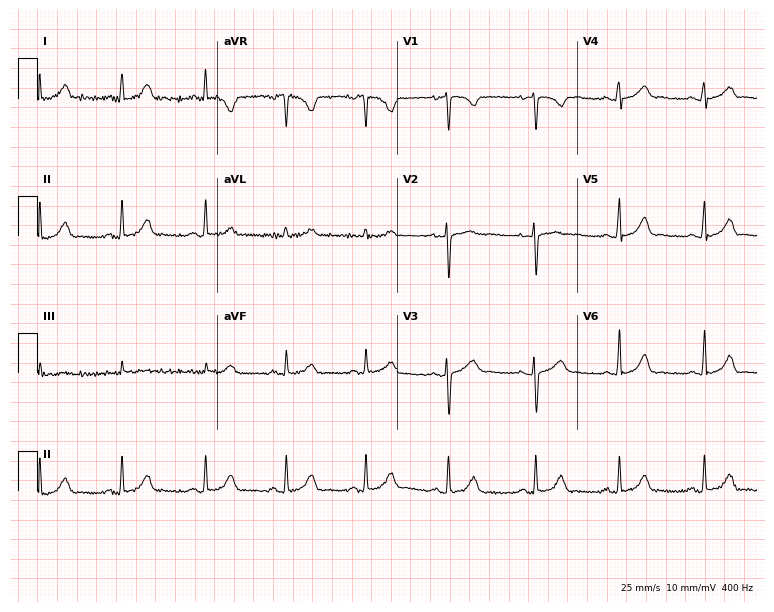
12-lead ECG from an 18-year-old woman. Screened for six findings — first-degree AV block, right bundle branch block, left bundle branch block, sinus bradycardia, atrial fibrillation, sinus tachycardia — none is recorded.